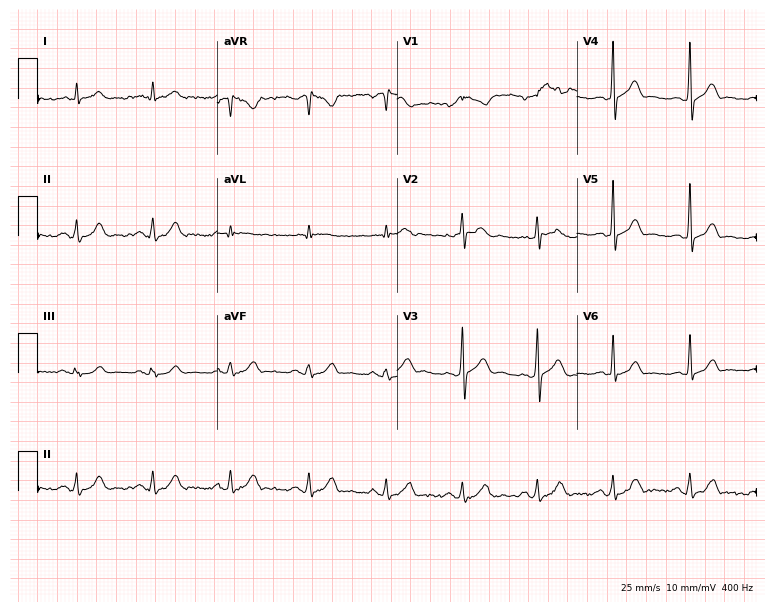
ECG (7.3-second recording at 400 Hz) — a man, 49 years old. Screened for six findings — first-degree AV block, right bundle branch block (RBBB), left bundle branch block (LBBB), sinus bradycardia, atrial fibrillation (AF), sinus tachycardia — none is recorded. Other findings, if any, are not listed.